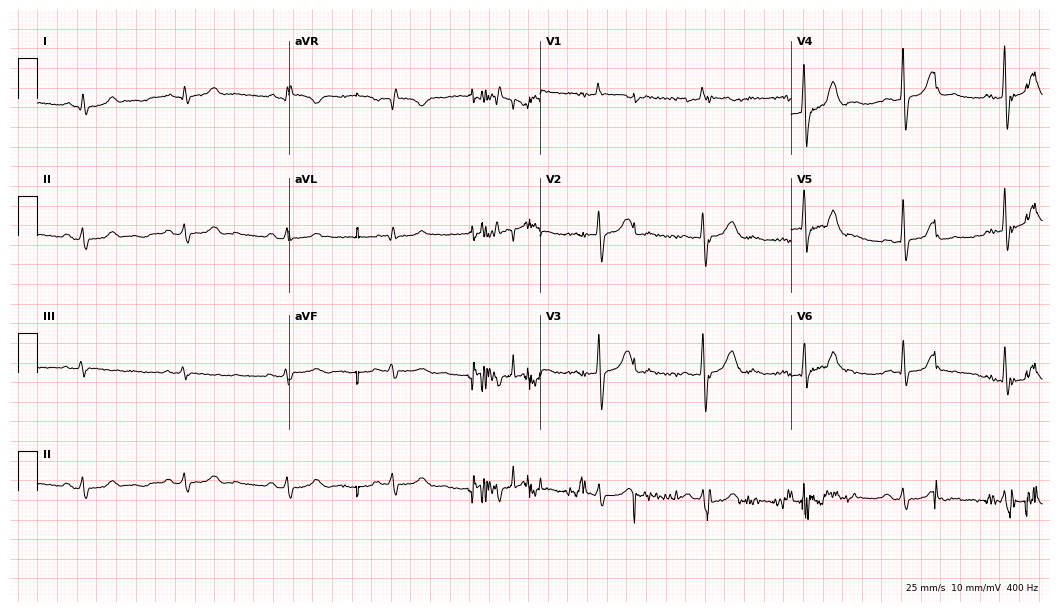
ECG (10.2-second recording at 400 Hz) — a 57-year-old male patient. Screened for six findings — first-degree AV block, right bundle branch block (RBBB), left bundle branch block (LBBB), sinus bradycardia, atrial fibrillation (AF), sinus tachycardia — none is recorded. Only these six findings were labelled.